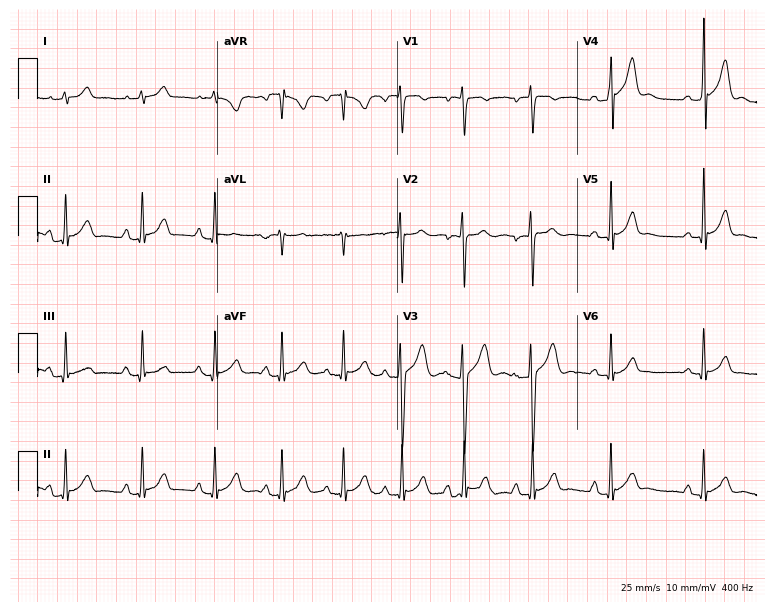
Resting 12-lead electrocardiogram. Patient: an 18-year-old male. None of these six findings is recorded: first-degree AV block, right bundle branch block (RBBB), left bundle branch block (LBBB), sinus bradycardia, atrial fibrillation (AF), sinus tachycardia. Findings outside these six are not listed.